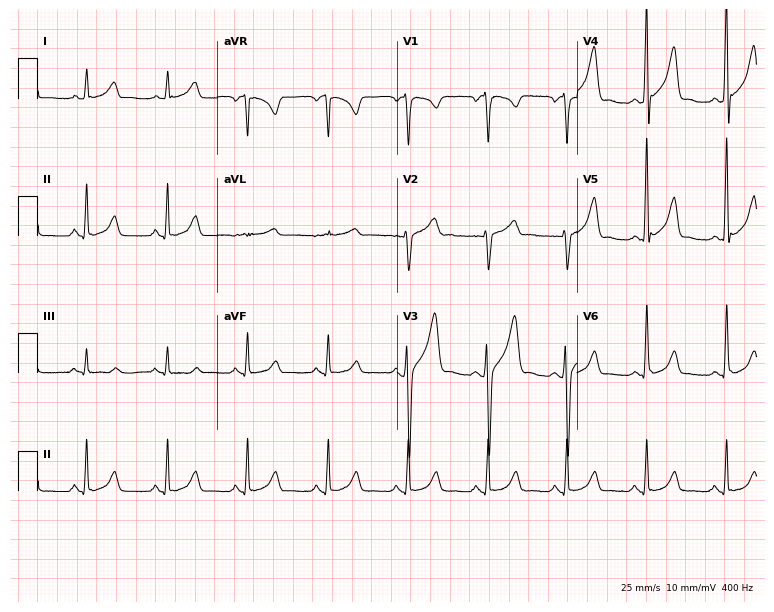
12-lead ECG from a male, 45 years old. No first-degree AV block, right bundle branch block, left bundle branch block, sinus bradycardia, atrial fibrillation or sinus tachycardia recorded for this tracing. Only these six findings were labelled.